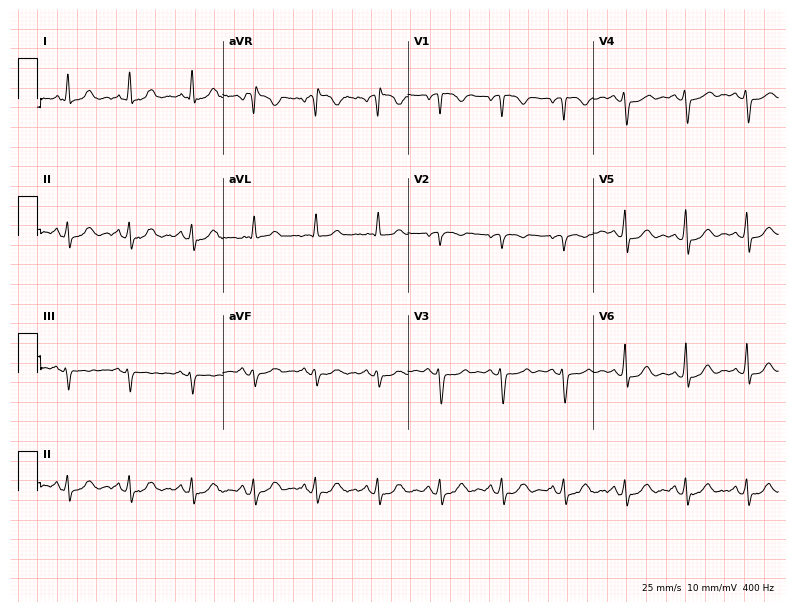
ECG — a woman, 41 years old. Labelled as a normal ECG.